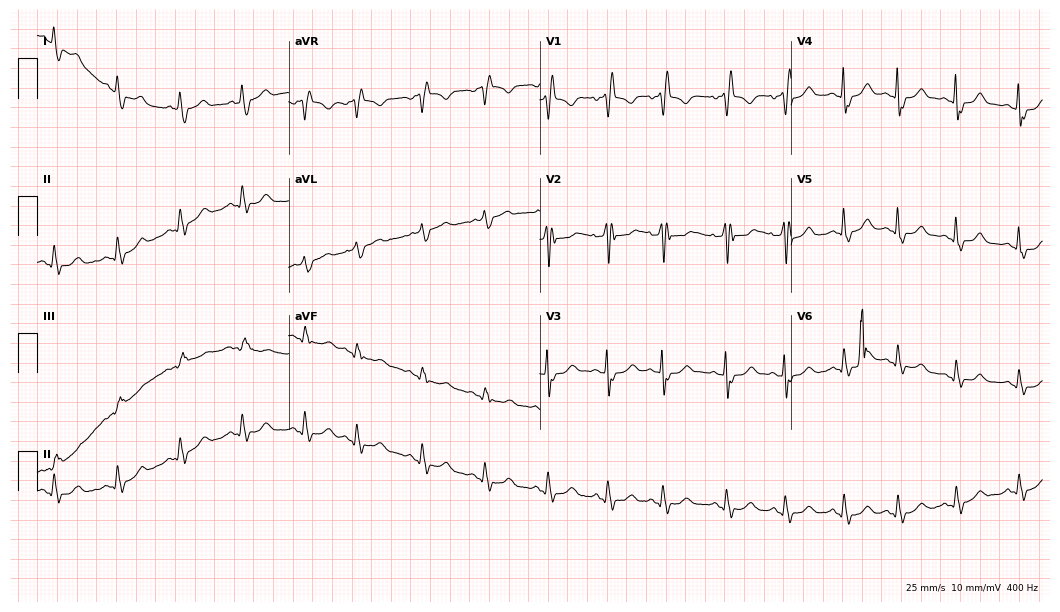
ECG (10.2-second recording at 400 Hz) — an 82-year-old woman. Findings include right bundle branch block.